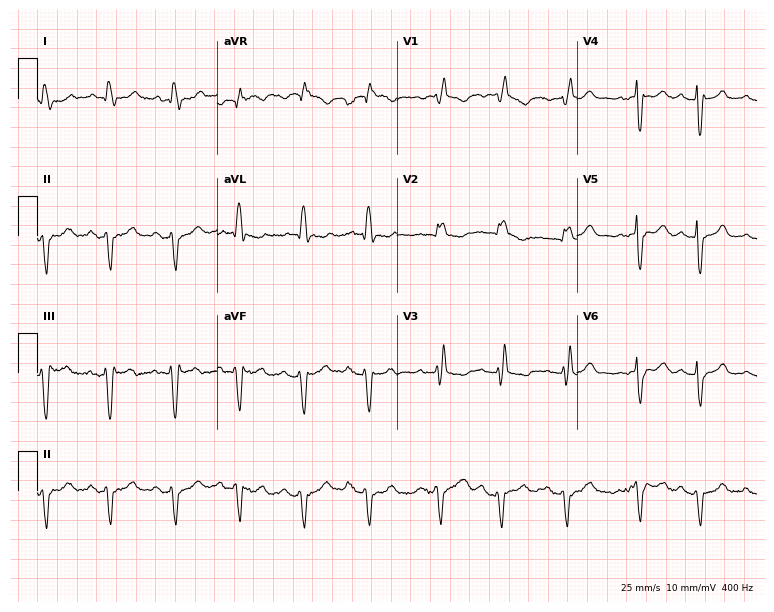
Standard 12-lead ECG recorded from a female, 79 years old (7.3-second recording at 400 Hz). The tracing shows right bundle branch block (RBBB).